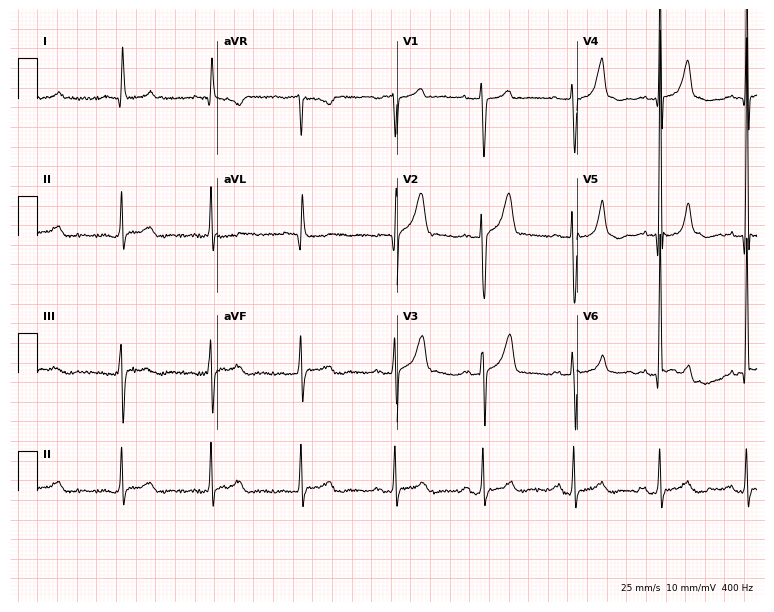
ECG (7.3-second recording at 400 Hz) — a man, 79 years old. Screened for six findings — first-degree AV block, right bundle branch block, left bundle branch block, sinus bradycardia, atrial fibrillation, sinus tachycardia — none is recorded.